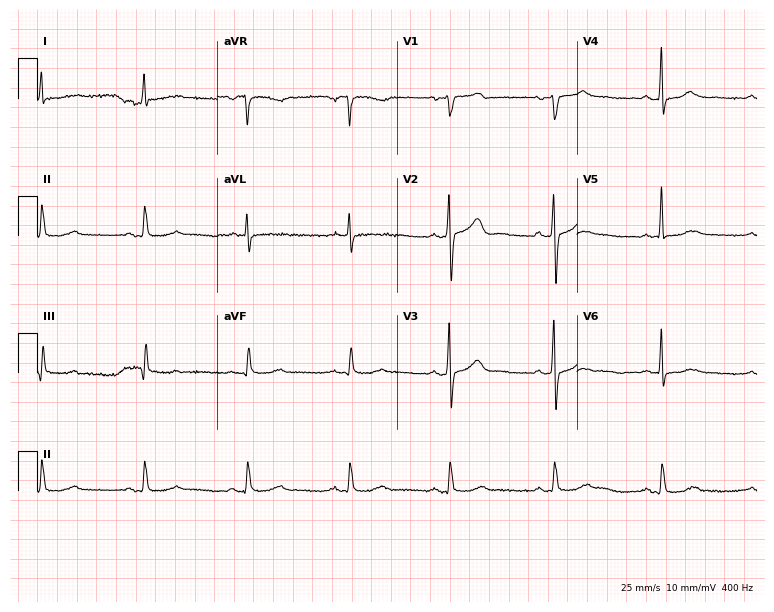
ECG (7.3-second recording at 400 Hz) — a 50-year-old male. Screened for six findings — first-degree AV block, right bundle branch block, left bundle branch block, sinus bradycardia, atrial fibrillation, sinus tachycardia — none is recorded. Only these six findings were labelled.